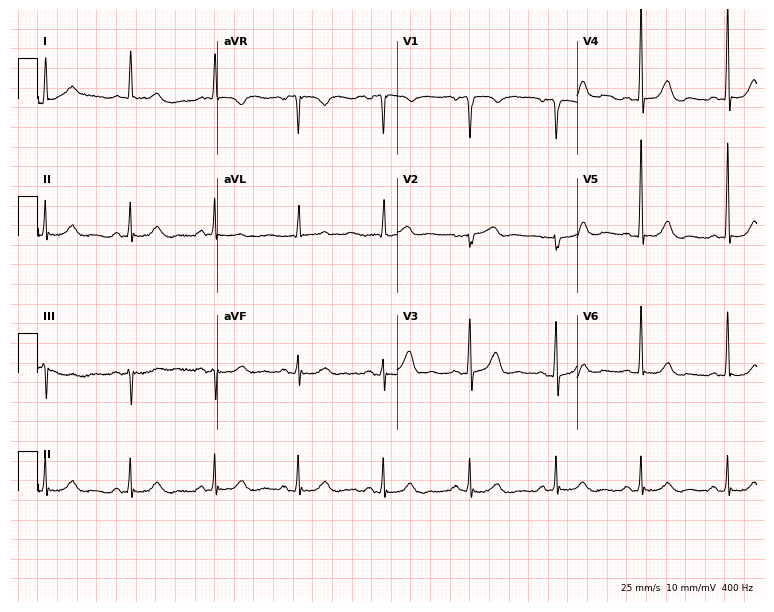
ECG — a 70-year-old man. Labelled as a normal ECG.